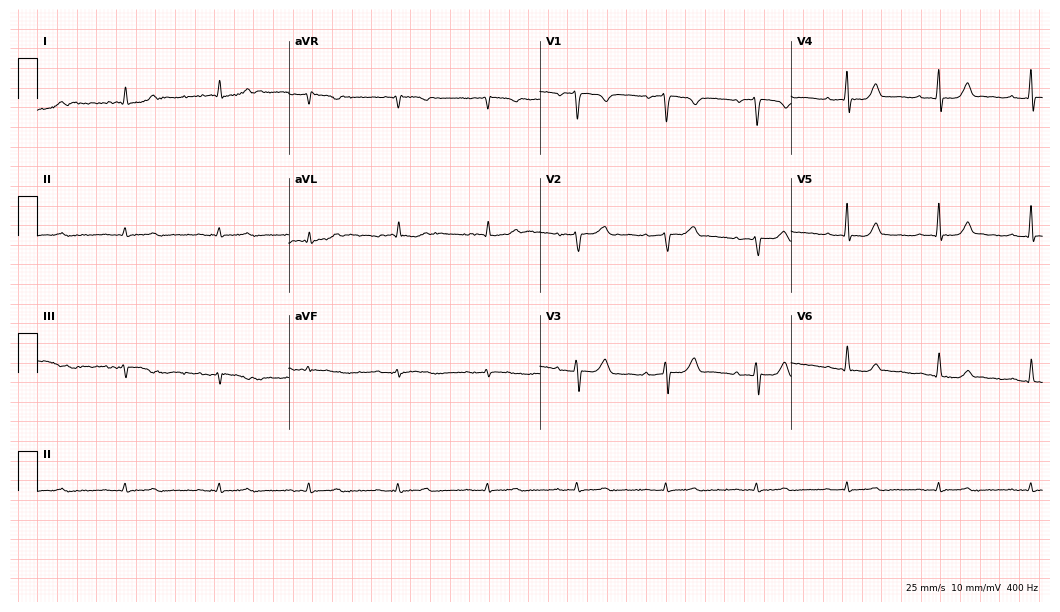
ECG — a 73-year-old female. Labelled as a normal ECG.